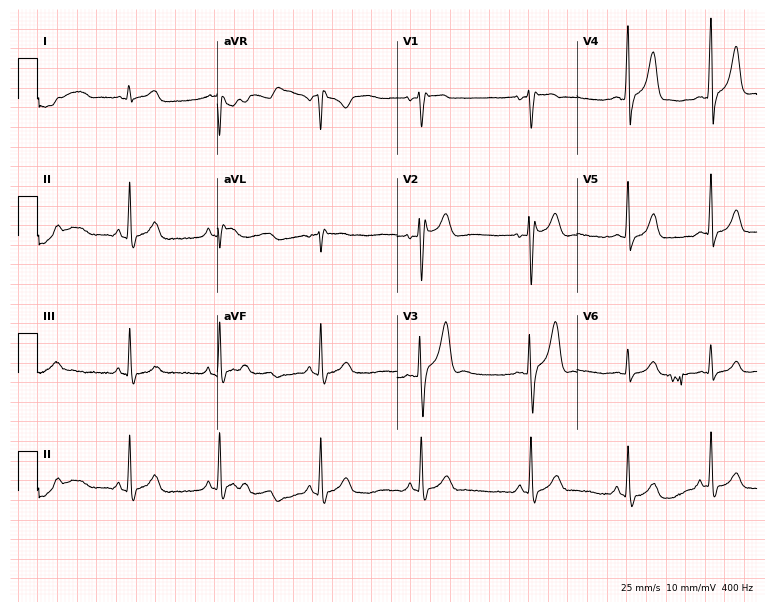
12-lead ECG from a male, 25 years old. Screened for six findings — first-degree AV block, right bundle branch block, left bundle branch block, sinus bradycardia, atrial fibrillation, sinus tachycardia — none is recorded.